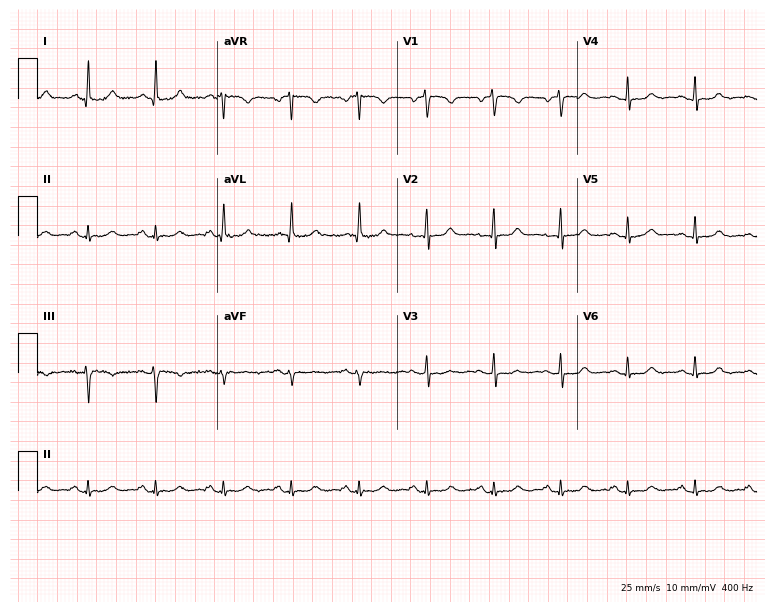
Resting 12-lead electrocardiogram. Patient: a 52-year-old female. Read as a normal ECG.